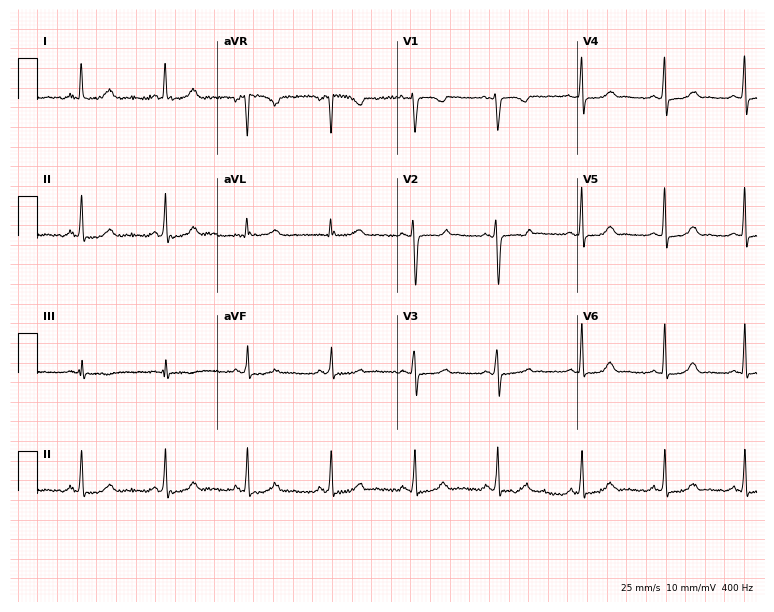
Electrocardiogram, a 19-year-old woman. Of the six screened findings (first-degree AV block, right bundle branch block, left bundle branch block, sinus bradycardia, atrial fibrillation, sinus tachycardia), none is recorded. Other findings, if any, are not listed.